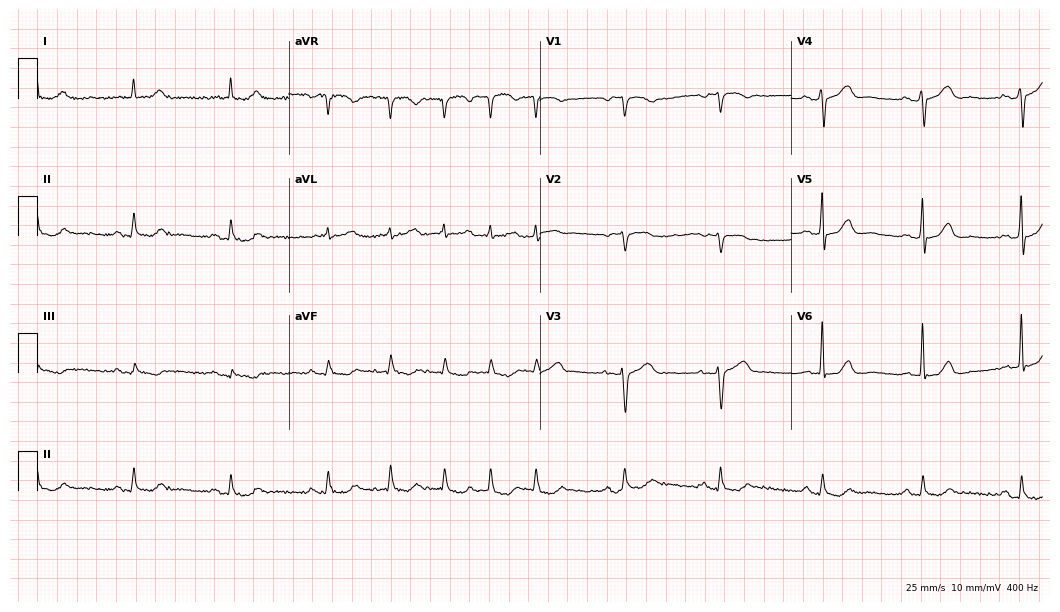
ECG (10.2-second recording at 400 Hz) — a woman, 84 years old. Screened for six findings — first-degree AV block, right bundle branch block (RBBB), left bundle branch block (LBBB), sinus bradycardia, atrial fibrillation (AF), sinus tachycardia — none is recorded.